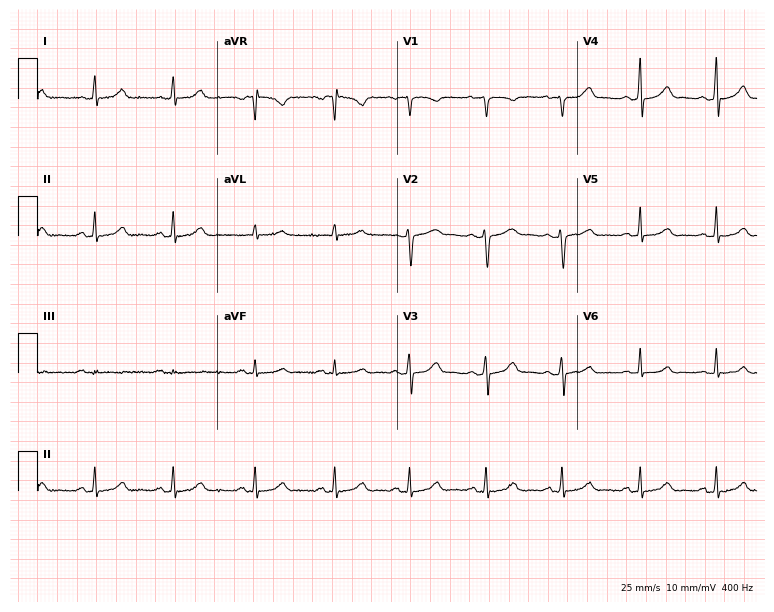
12-lead ECG (7.3-second recording at 400 Hz) from a 25-year-old female patient. Labelled as a normal ECG.